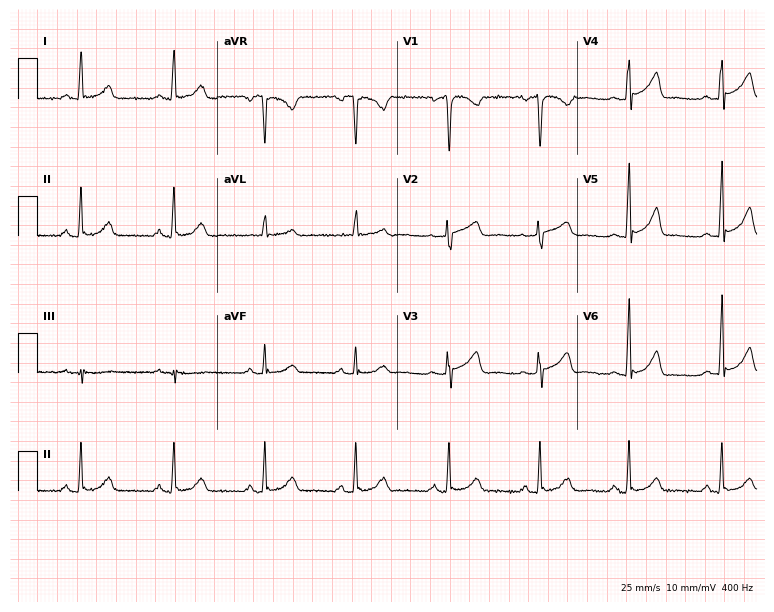
12-lead ECG from a 48-year-old female. Screened for six findings — first-degree AV block, right bundle branch block, left bundle branch block, sinus bradycardia, atrial fibrillation, sinus tachycardia — none is recorded.